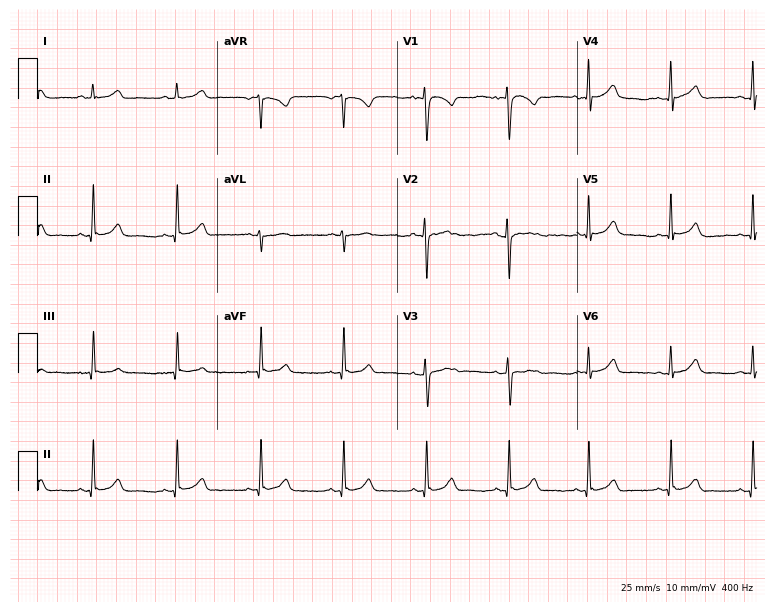
ECG (7.3-second recording at 400 Hz) — a woman, 17 years old. Labelled as a normal ECG.